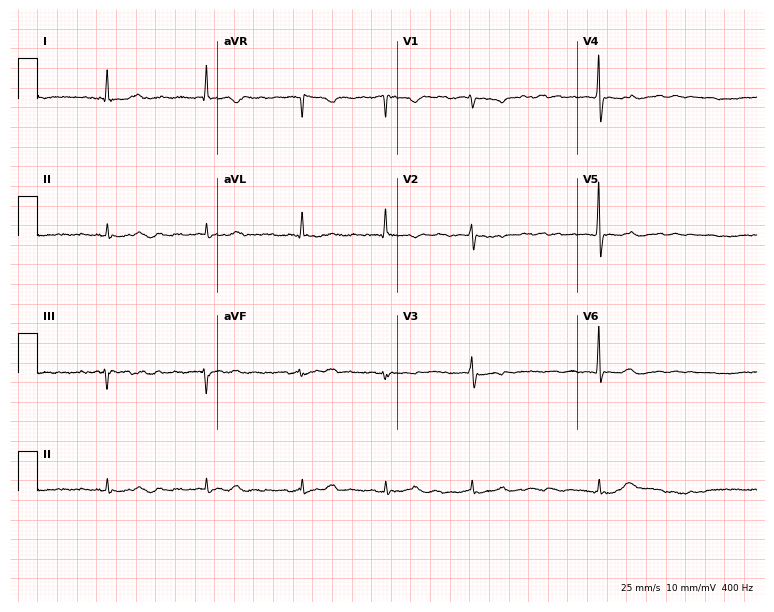
Electrocardiogram, a 72-year-old female. Of the six screened findings (first-degree AV block, right bundle branch block, left bundle branch block, sinus bradycardia, atrial fibrillation, sinus tachycardia), none is recorded.